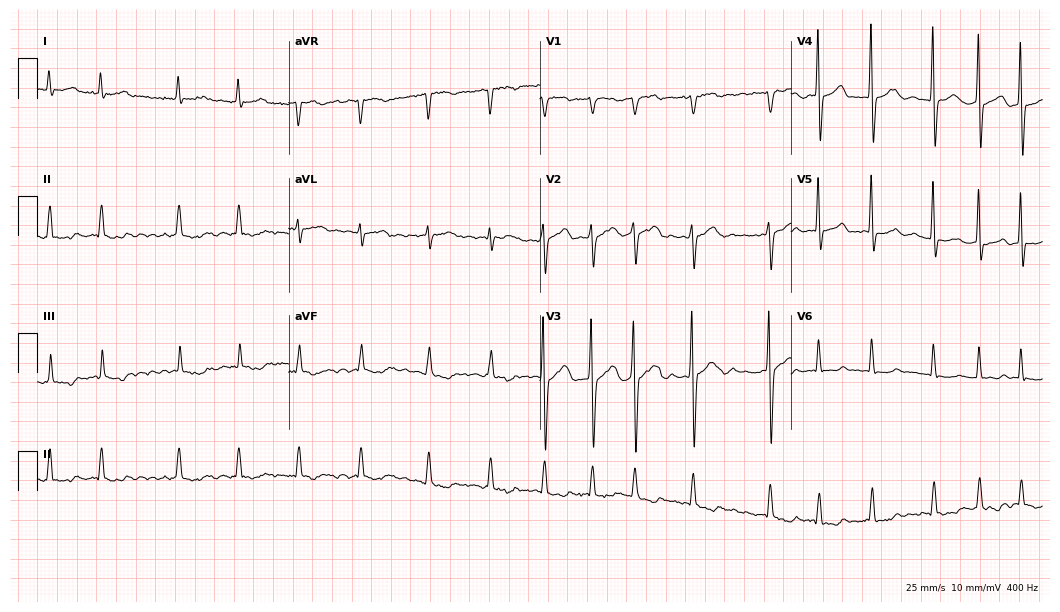
Electrocardiogram, a 74-year-old male. Interpretation includes atrial fibrillation.